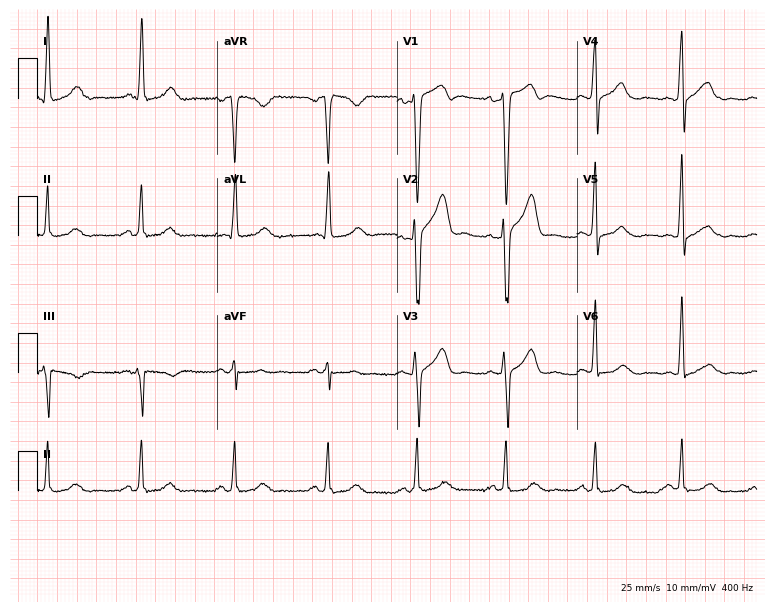
12-lead ECG (7.3-second recording at 400 Hz) from a 32-year-old male. Labelled as a normal ECG.